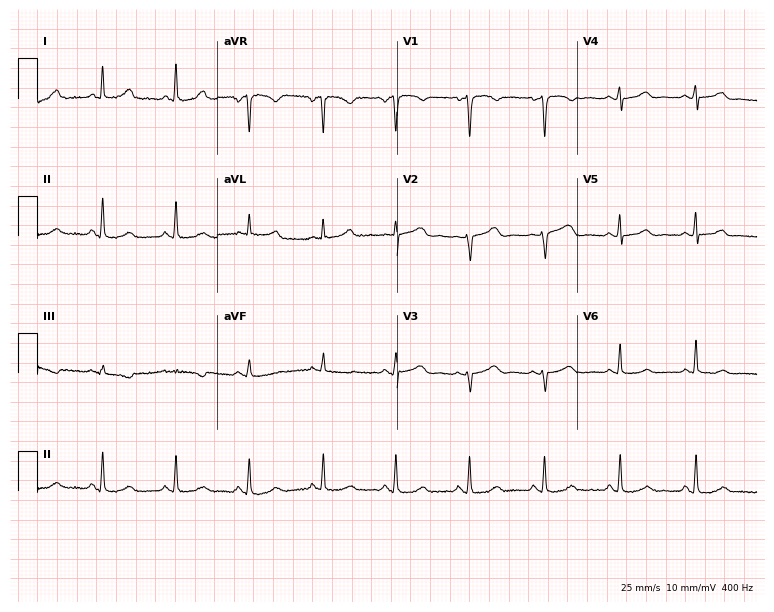
ECG (7.3-second recording at 400 Hz) — a 52-year-old female patient. Screened for six findings — first-degree AV block, right bundle branch block (RBBB), left bundle branch block (LBBB), sinus bradycardia, atrial fibrillation (AF), sinus tachycardia — none is recorded. Findings outside these six are not listed.